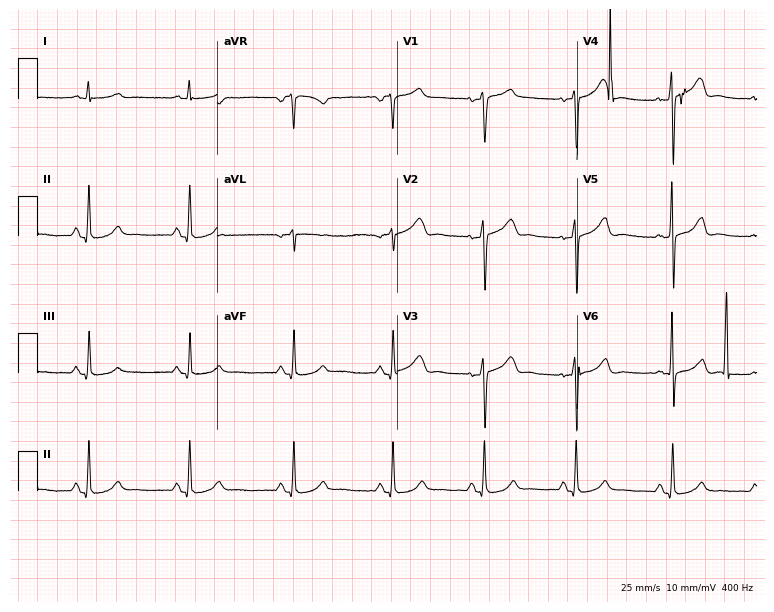
12-lead ECG from a 60-year-old male patient. Recorded interpretation: within normal limits.